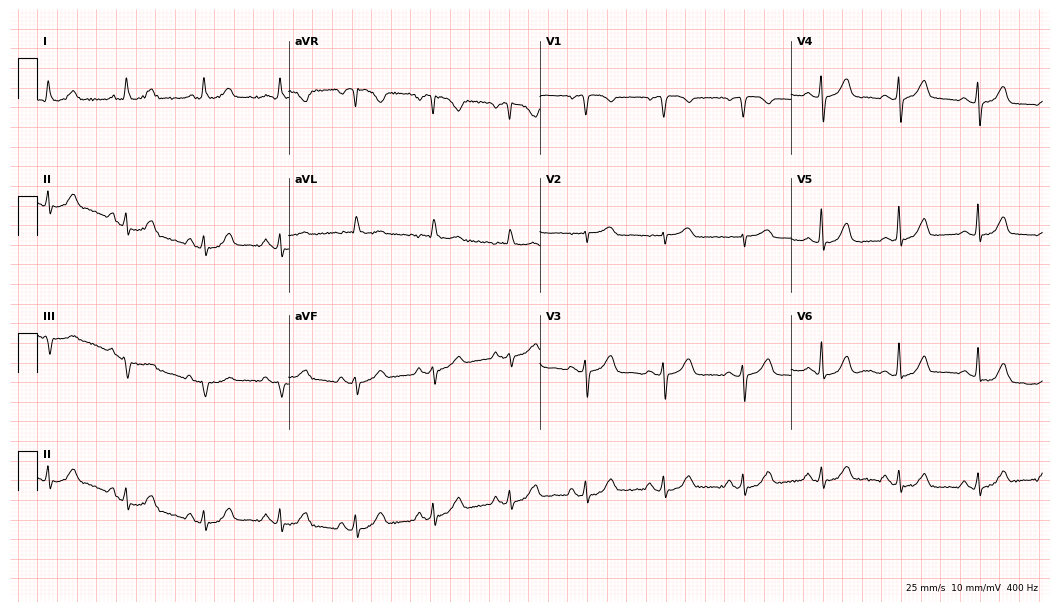
12-lead ECG from a 72-year-old female. Labelled as a normal ECG.